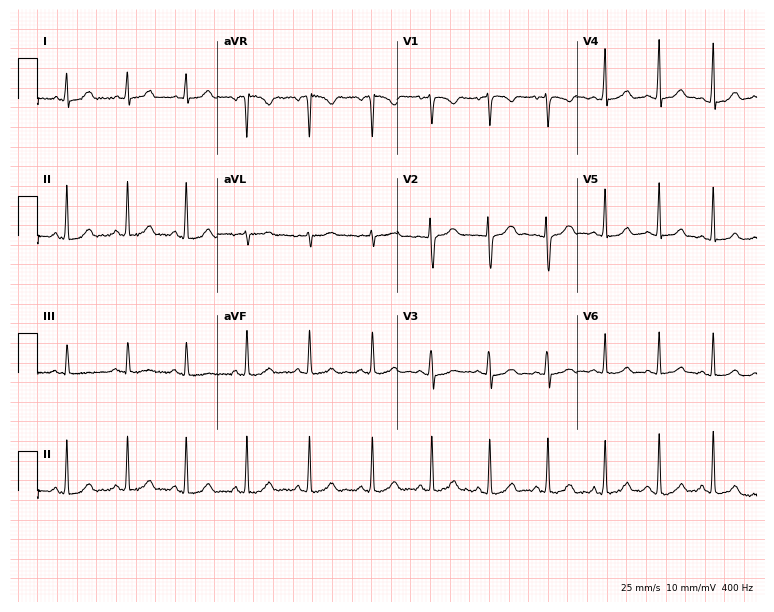
Electrocardiogram, a 23-year-old woman. Overall reading on record: normal ECG.